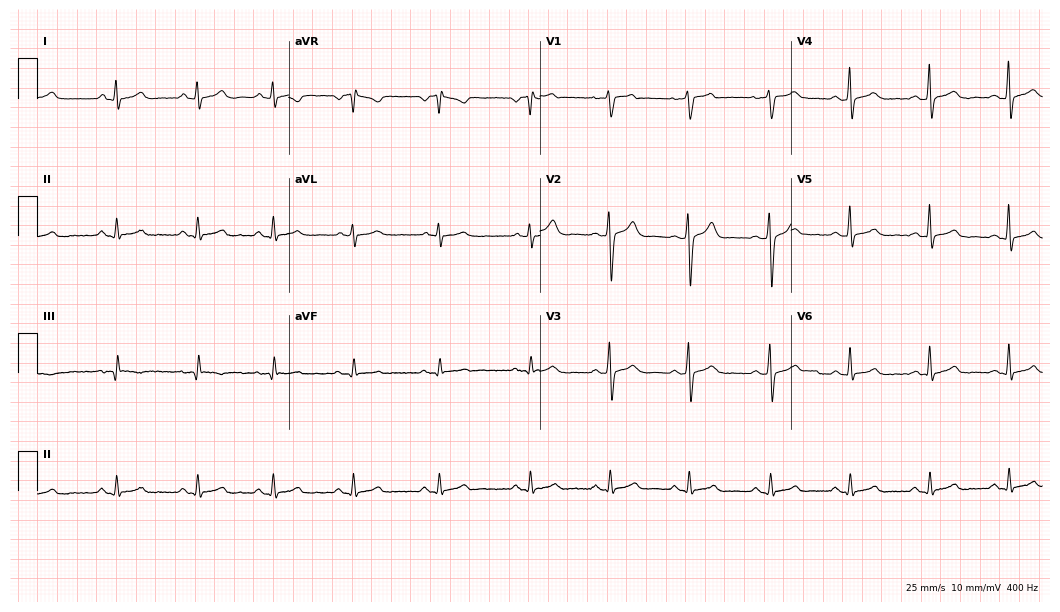
Electrocardiogram, a male, 31 years old. Of the six screened findings (first-degree AV block, right bundle branch block, left bundle branch block, sinus bradycardia, atrial fibrillation, sinus tachycardia), none is recorded. Findings outside these six are not listed.